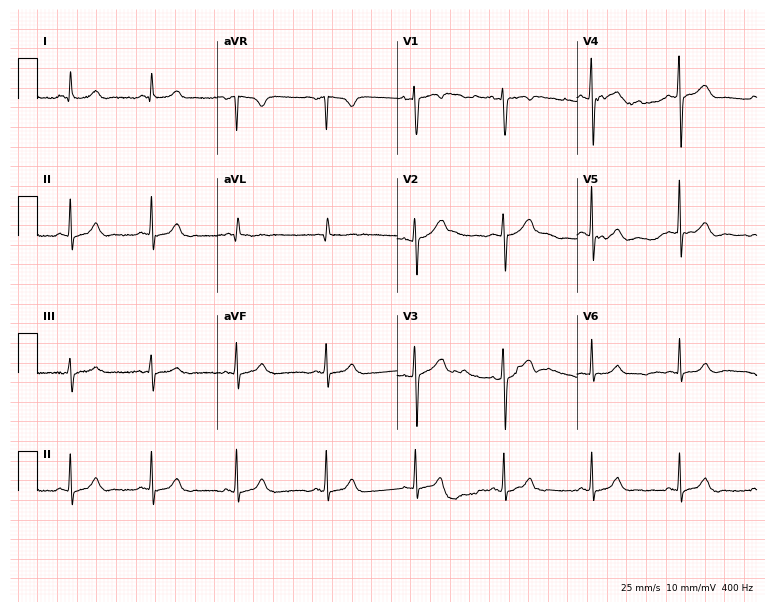
12-lead ECG from a woman, 42 years old. No first-degree AV block, right bundle branch block, left bundle branch block, sinus bradycardia, atrial fibrillation or sinus tachycardia recorded for this tracing. Other findings, if any, are not listed.